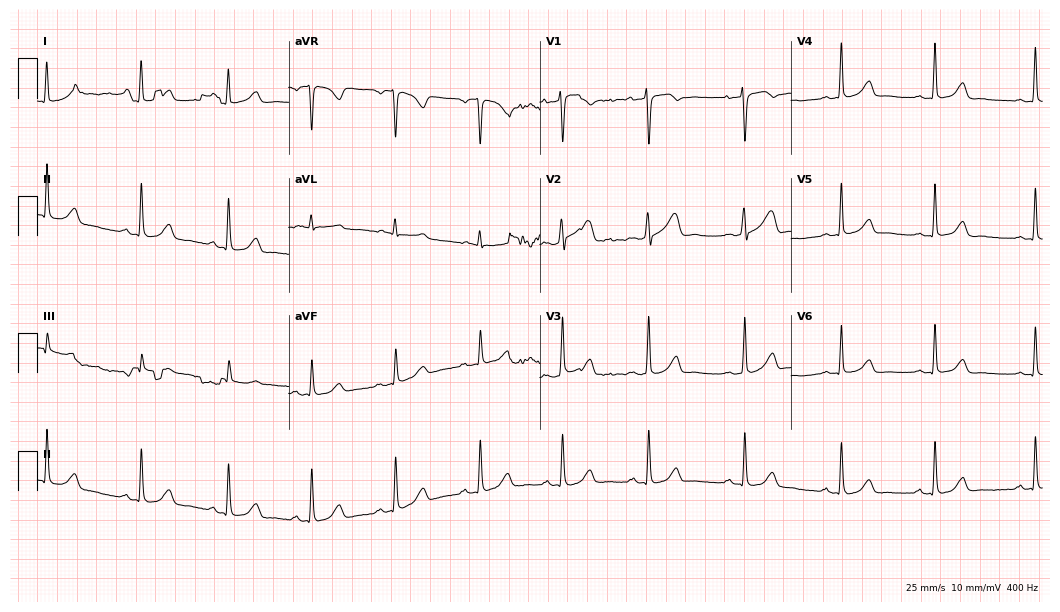
12-lead ECG (10.2-second recording at 400 Hz) from a 31-year-old female patient. Labelled as a normal ECG.